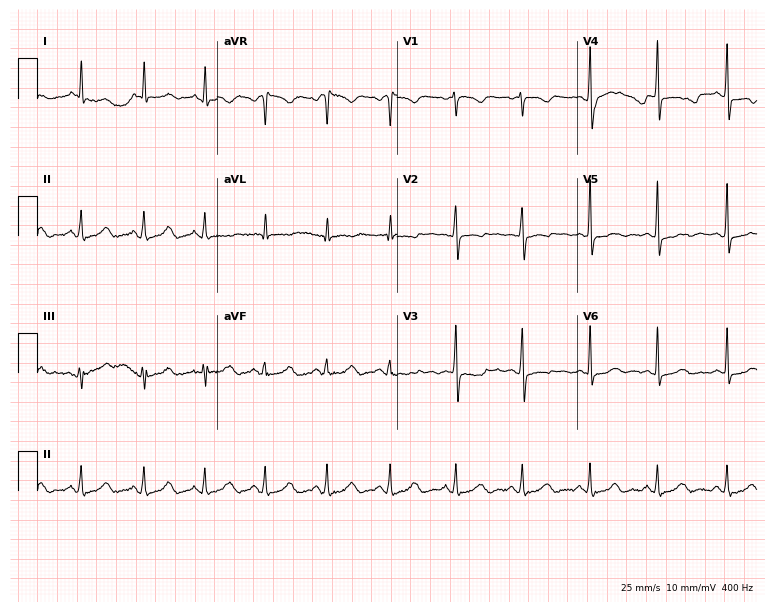
12-lead ECG from a 43-year-old woman. No first-degree AV block, right bundle branch block, left bundle branch block, sinus bradycardia, atrial fibrillation or sinus tachycardia recorded for this tracing. Other findings, if any, are not listed.